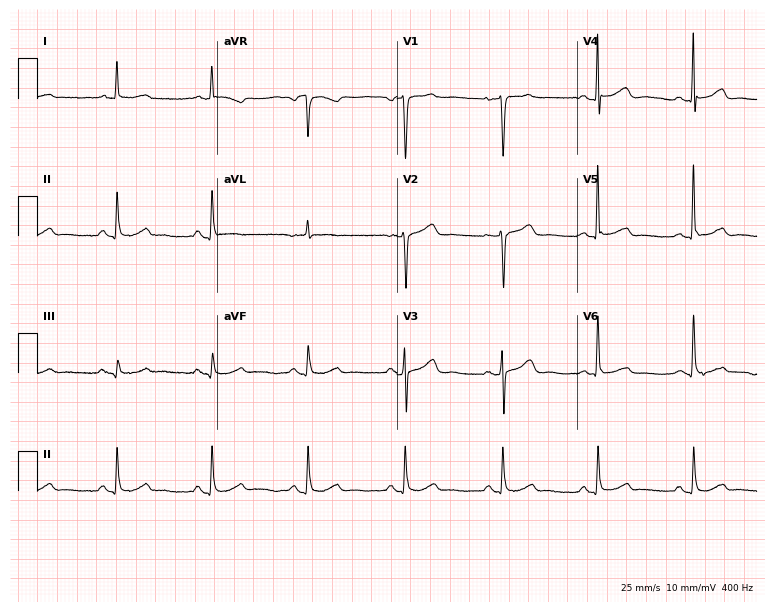
12-lead ECG (7.3-second recording at 400 Hz) from a woman, 81 years old. Labelled as a normal ECG.